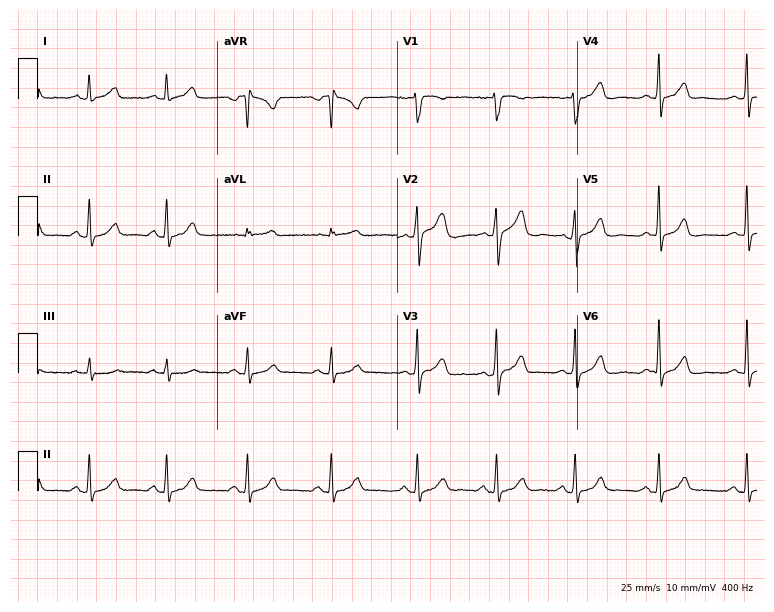
Standard 12-lead ECG recorded from a female, 29 years old. Read as a normal ECG.